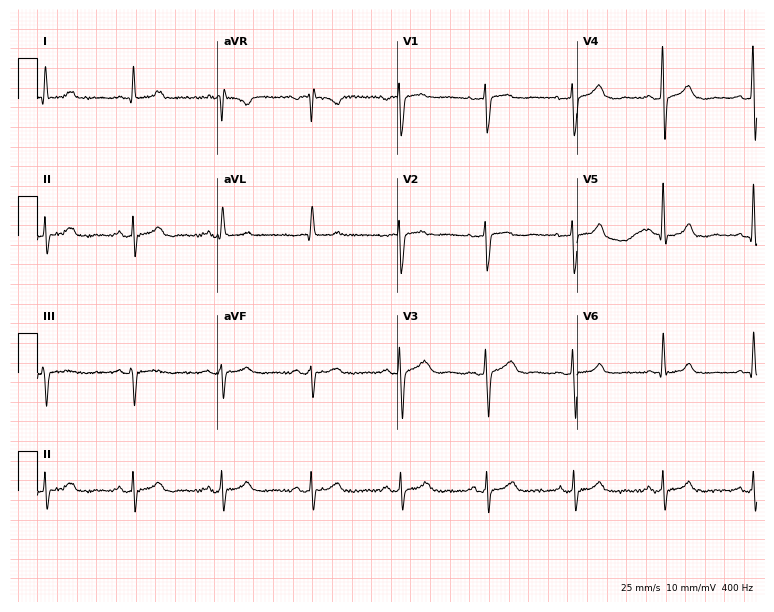
Electrocardiogram (7.3-second recording at 400 Hz), a 60-year-old woman. Overall reading on record: normal ECG.